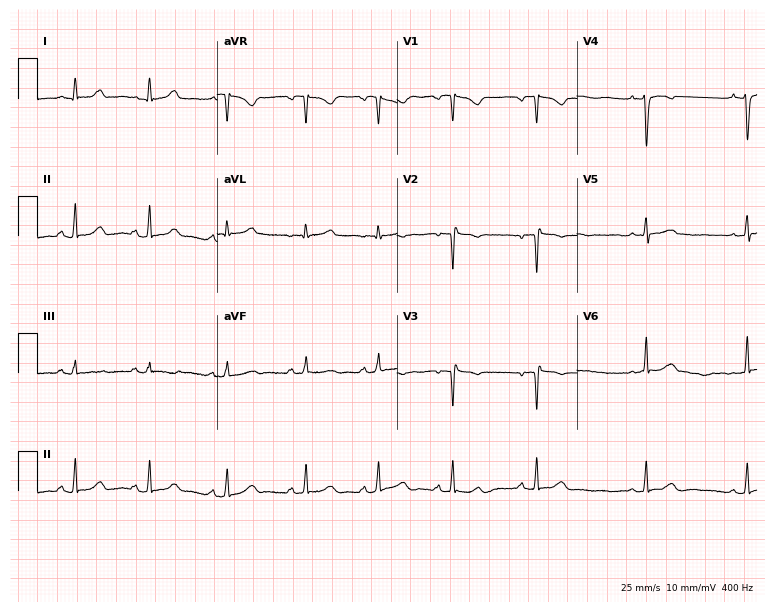
12-lead ECG from a female patient, 28 years old. No first-degree AV block, right bundle branch block, left bundle branch block, sinus bradycardia, atrial fibrillation or sinus tachycardia recorded for this tracing.